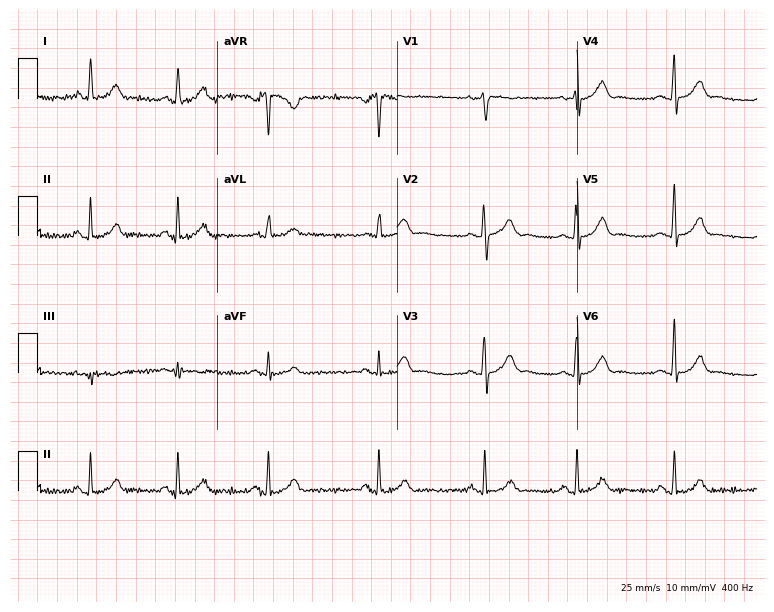
Standard 12-lead ECG recorded from a 28-year-old male. Read as a normal ECG.